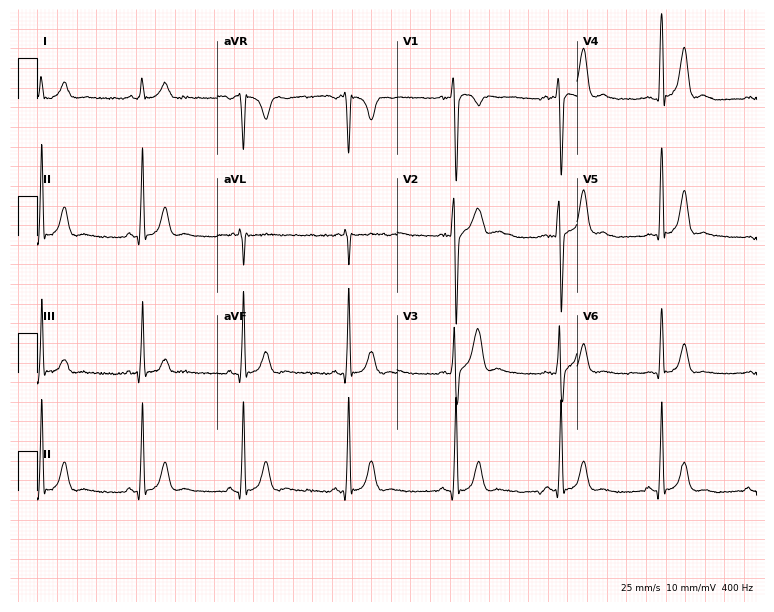
Resting 12-lead electrocardiogram. Patient: a man, 26 years old. Read as a normal ECG.